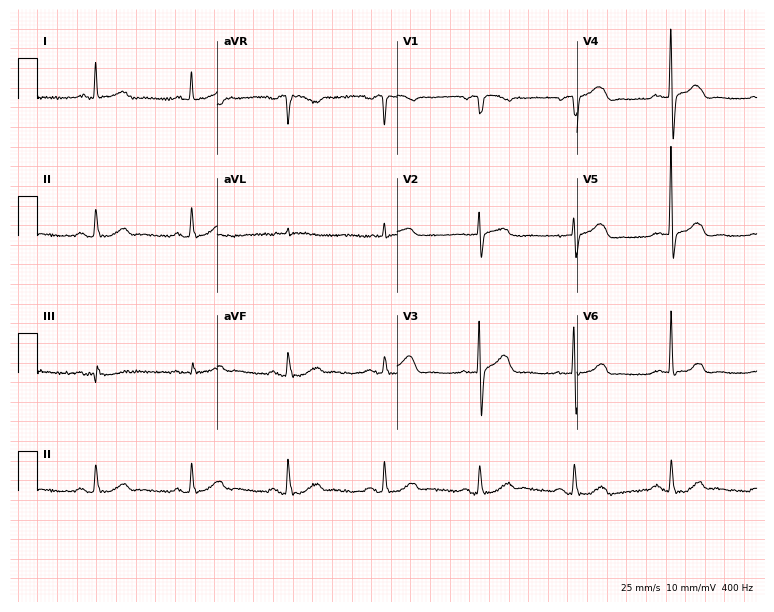
Electrocardiogram (7.3-second recording at 400 Hz), a male, 67 years old. Overall reading on record: normal ECG.